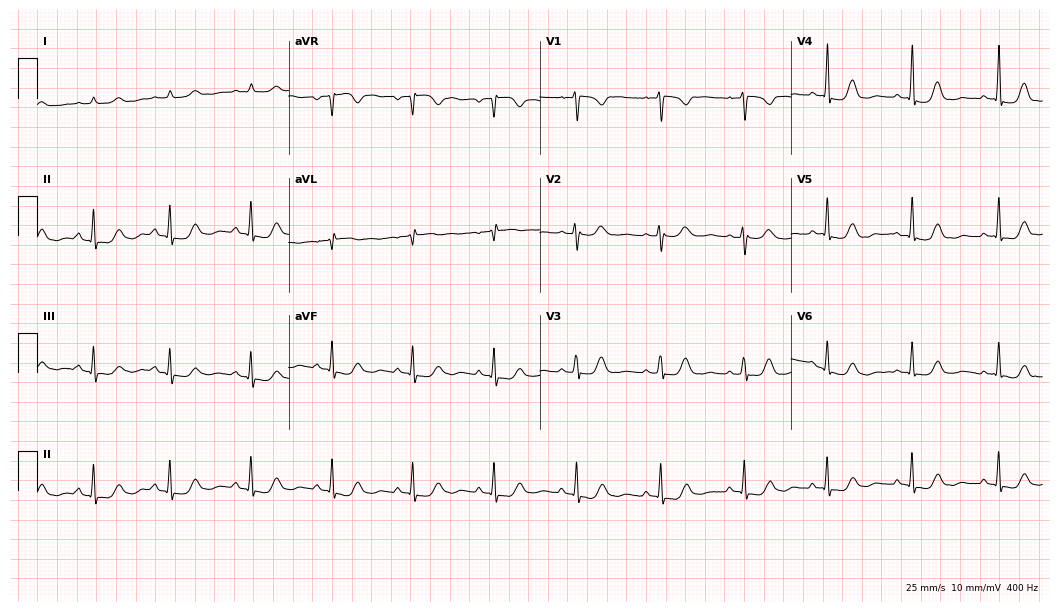
12-lead ECG from a woman, 58 years old (10.2-second recording at 400 Hz). No first-degree AV block, right bundle branch block, left bundle branch block, sinus bradycardia, atrial fibrillation or sinus tachycardia recorded for this tracing. Only these six findings were labelled.